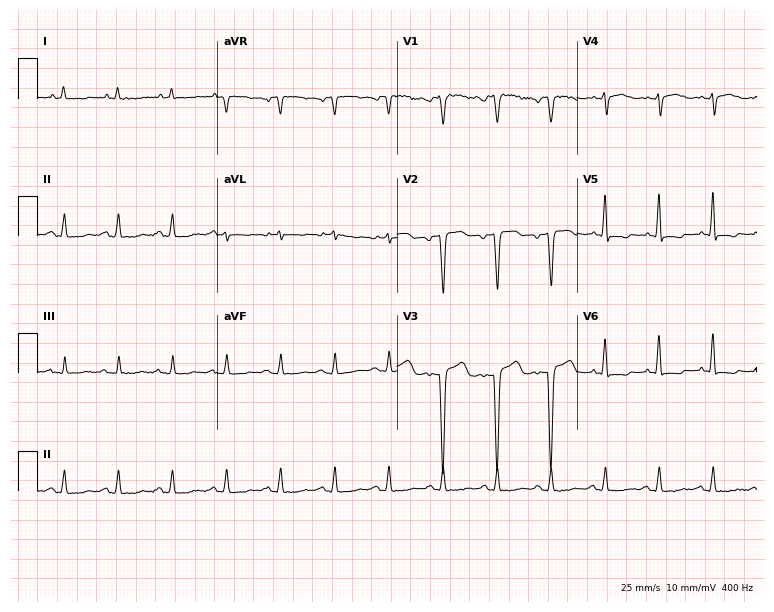
12-lead ECG from a male, 67 years old. Shows sinus tachycardia (a sinus rate of 100 beats per minute or more).